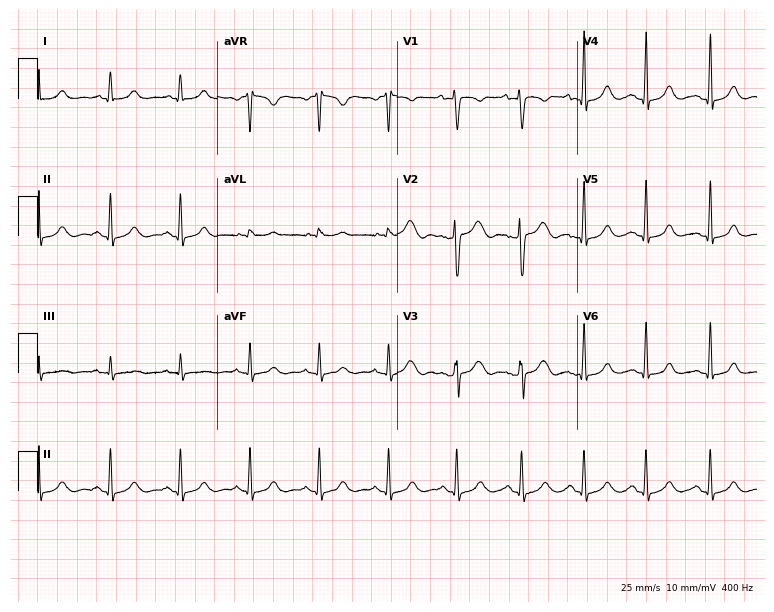
ECG (7.3-second recording at 400 Hz) — a female patient, 33 years old. Labelled as a normal ECG.